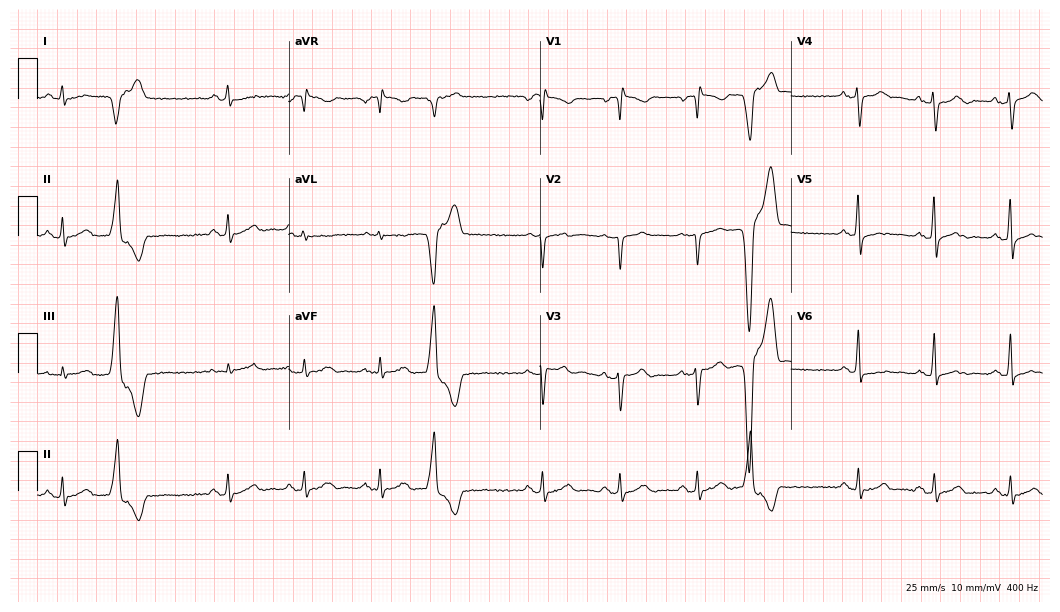
Electrocardiogram, a male patient, 41 years old. Of the six screened findings (first-degree AV block, right bundle branch block (RBBB), left bundle branch block (LBBB), sinus bradycardia, atrial fibrillation (AF), sinus tachycardia), none is recorded. Only these six findings were labelled.